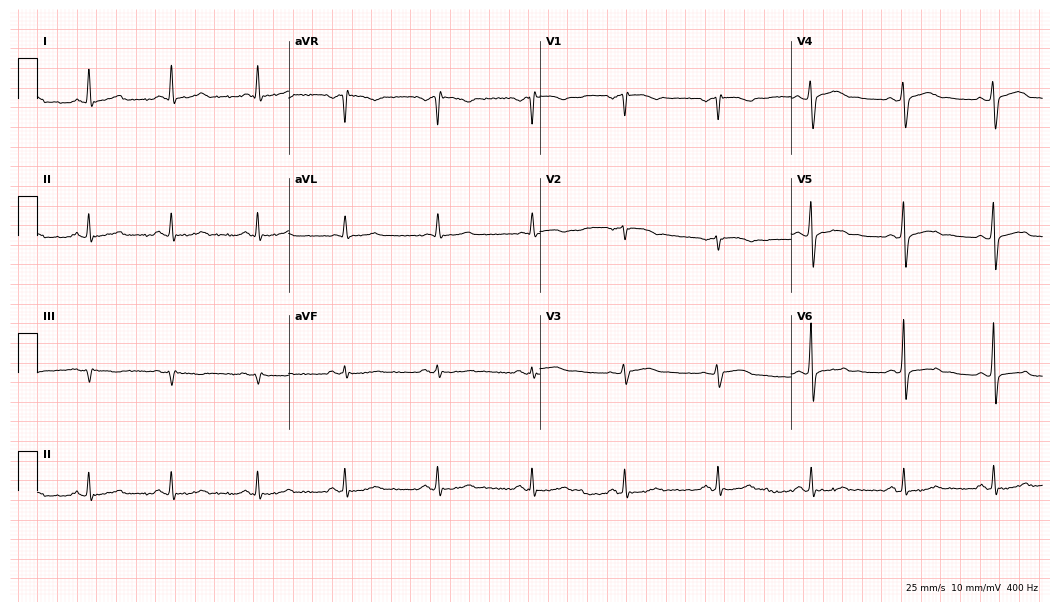
ECG — a 60-year-old male patient. Screened for six findings — first-degree AV block, right bundle branch block (RBBB), left bundle branch block (LBBB), sinus bradycardia, atrial fibrillation (AF), sinus tachycardia — none is recorded.